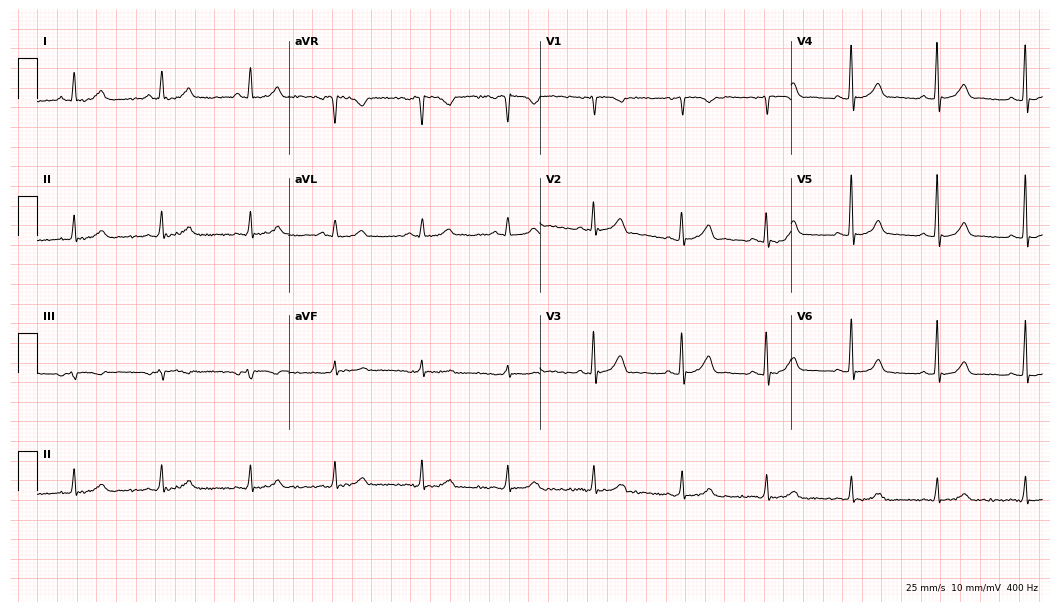
Standard 12-lead ECG recorded from a 51-year-old woman. Read as a normal ECG.